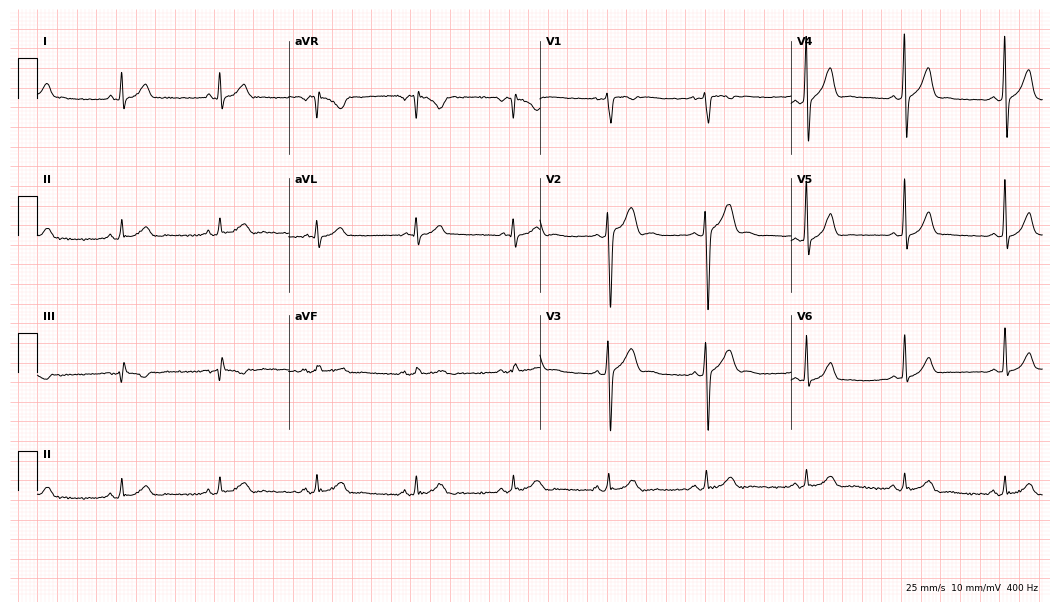
12-lead ECG (10.2-second recording at 400 Hz) from a male patient, 40 years old. Labelled as a normal ECG.